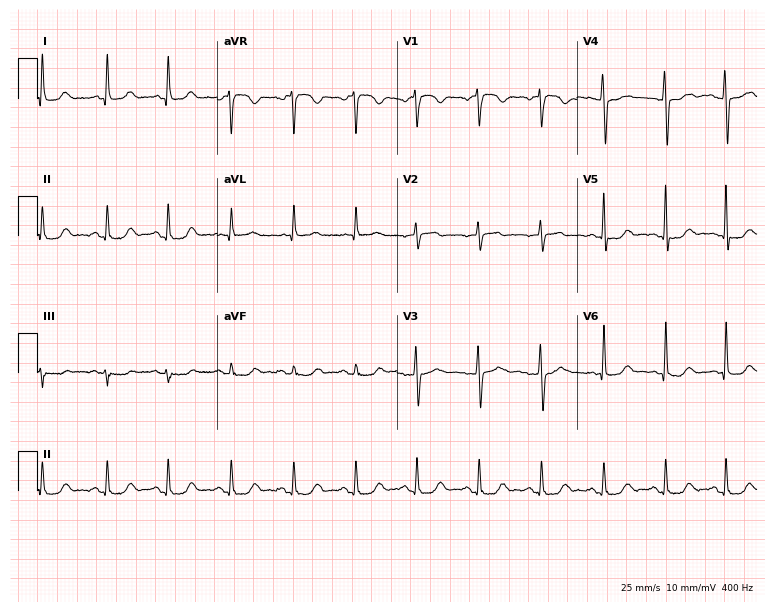
12-lead ECG from a 49-year-old female (7.3-second recording at 400 Hz). Recorded interpretation: within normal limits.